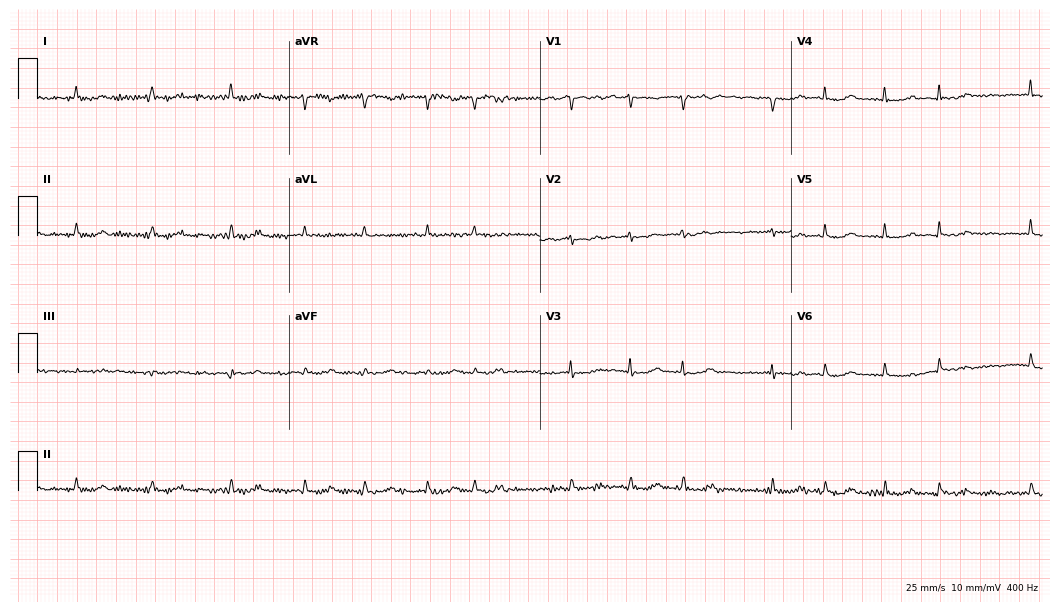
Standard 12-lead ECG recorded from a 79-year-old female patient (10.2-second recording at 400 Hz). The tracing shows atrial fibrillation.